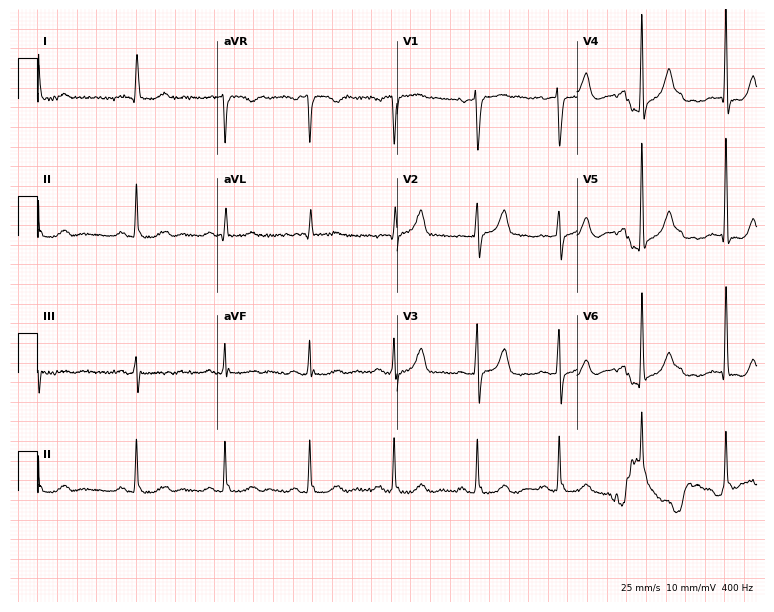
Standard 12-lead ECG recorded from a female, 70 years old (7.3-second recording at 400 Hz). Read as a normal ECG.